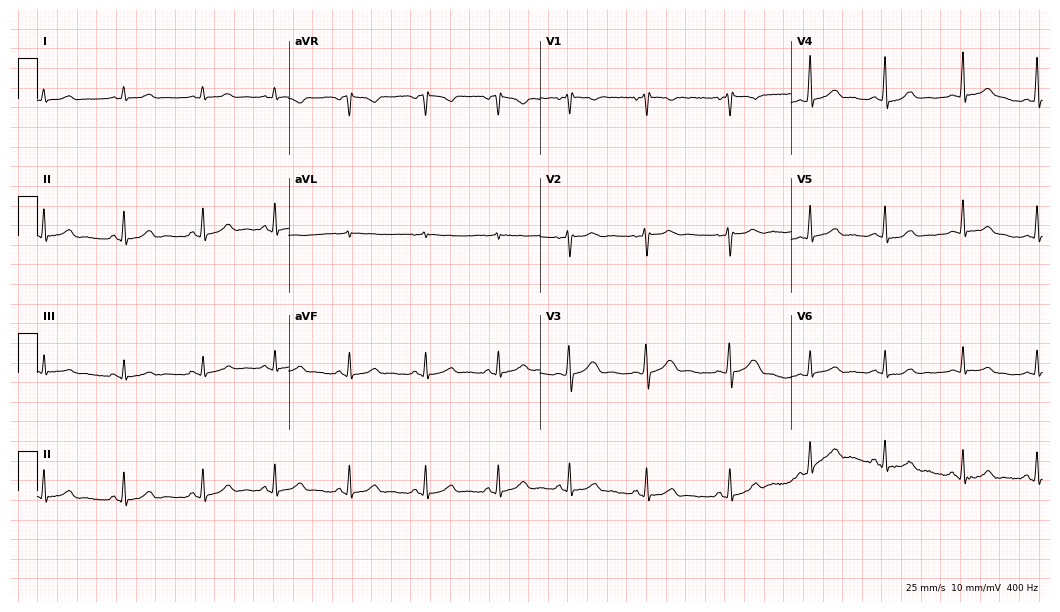
ECG (10.2-second recording at 400 Hz) — an 18-year-old woman. Screened for six findings — first-degree AV block, right bundle branch block, left bundle branch block, sinus bradycardia, atrial fibrillation, sinus tachycardia — none is recorded. Other findings, if any, are not listed.